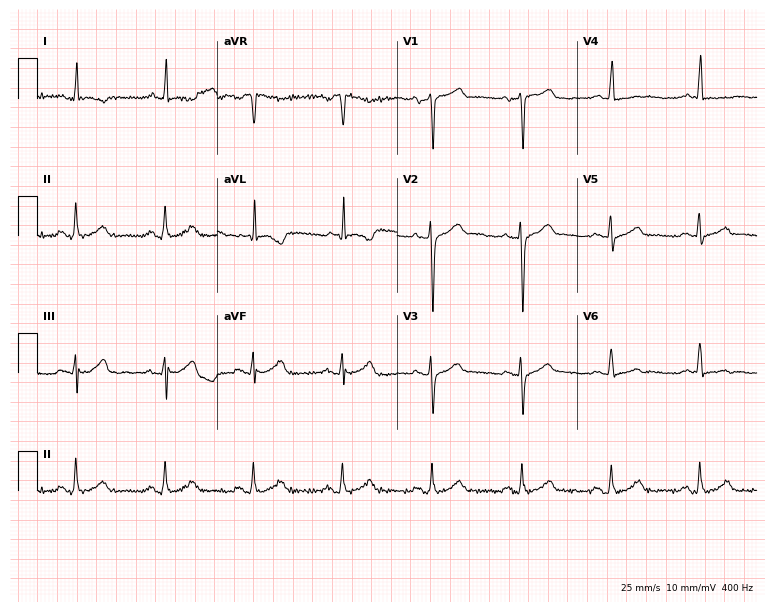
Resting 12-lead electrocardiogram (7.3-second recording at 400 Hz). Patient: a 68-year-old man. None of these six findings is recorded: first-degree AV block, right bundle branch block, left bundle branch block, sinus bradycardia, atrial fibrillation, sinus tachycardia.